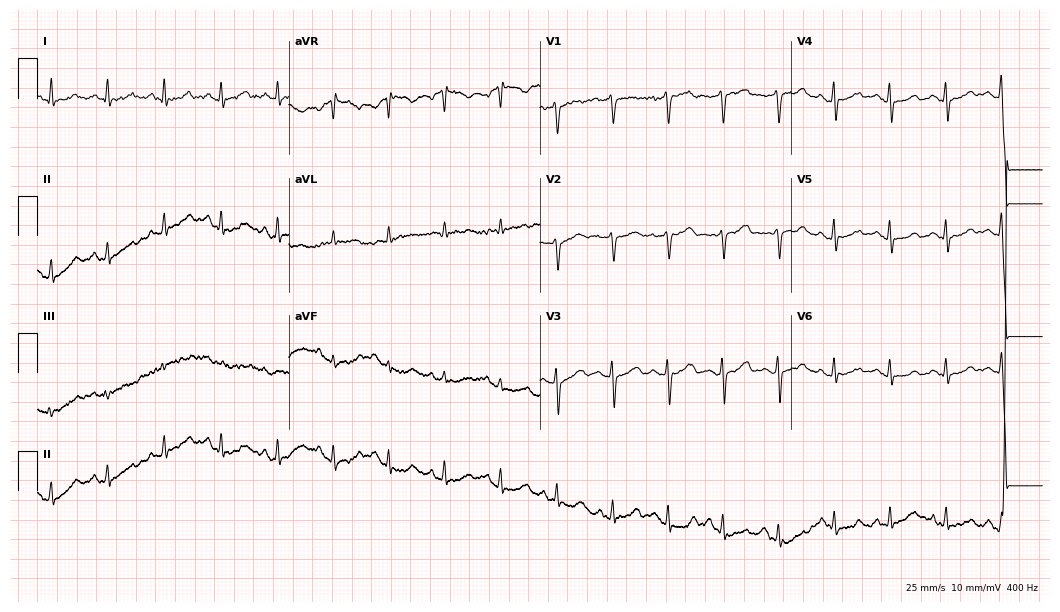
12-lead ECG (10.2-second recording at 400 Hz) from a female, 54 years old. Findings include sinus tachycardia (a sinus rate of 100 beats per minute or more).